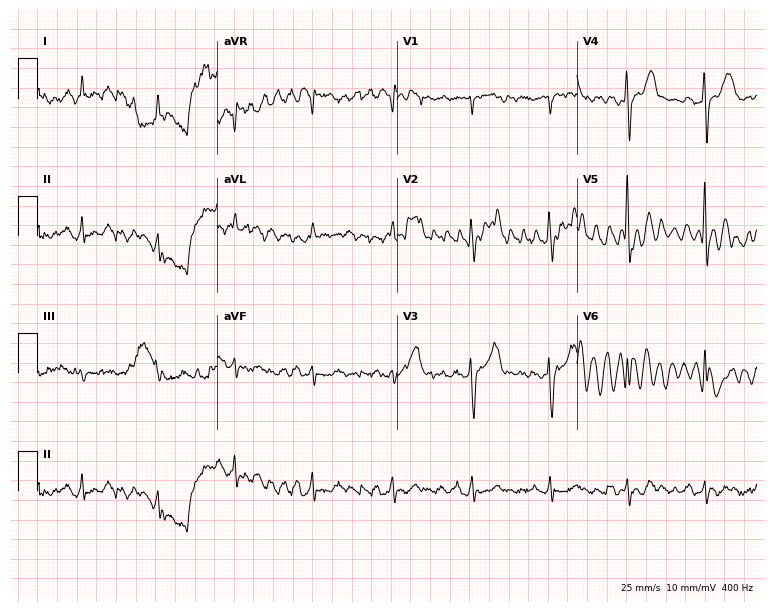
Standard 12-lead ECG recorded from a man, 74 years old. None of these six findings is recorded: first-degree AV block, right bundle branch block (RBBB), left bundle branch block (LBBB), sinus bradycardia, atrial fibrillation (AF), sinus tachycardia. Findings outside these six are not listed.